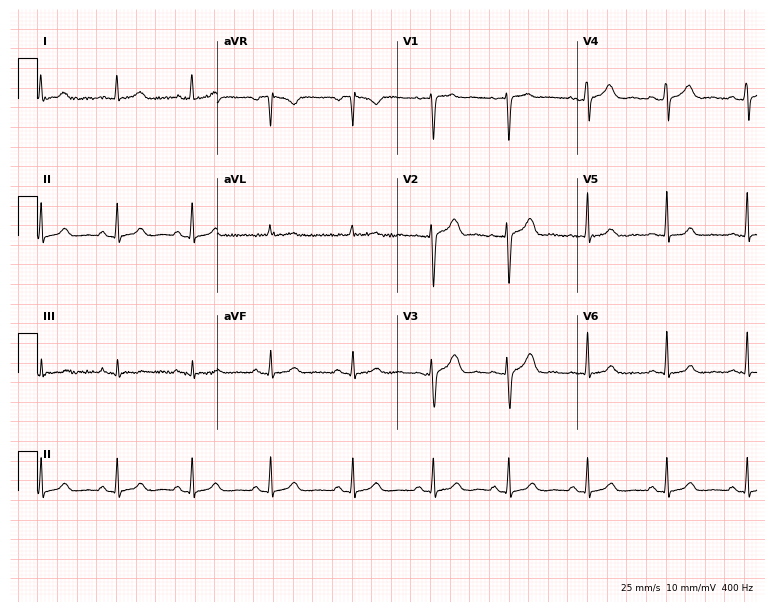
Standard 12-lead ECG recorded from a female patient, 35 years old. None of these six findings is recorded: first-degree AV block, right bundle branch block, left bundle branch block, sinus bradycardia, atrial fibrillation, sinus tachycardia. Other findings, if any, are not listed.